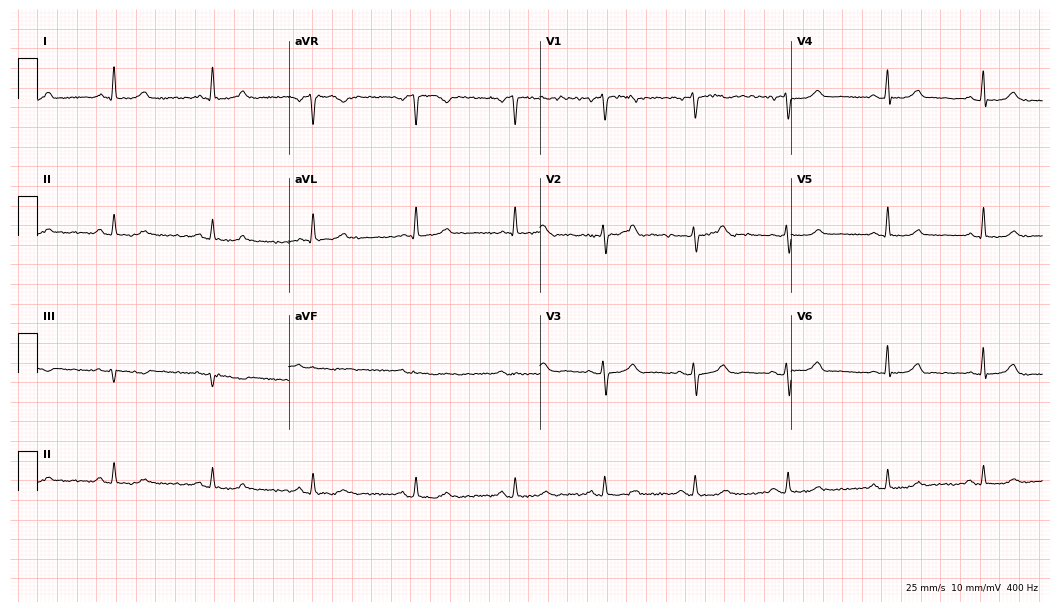
12-lead ECG from a female, 53 years old. Labelled as a normal ECG.